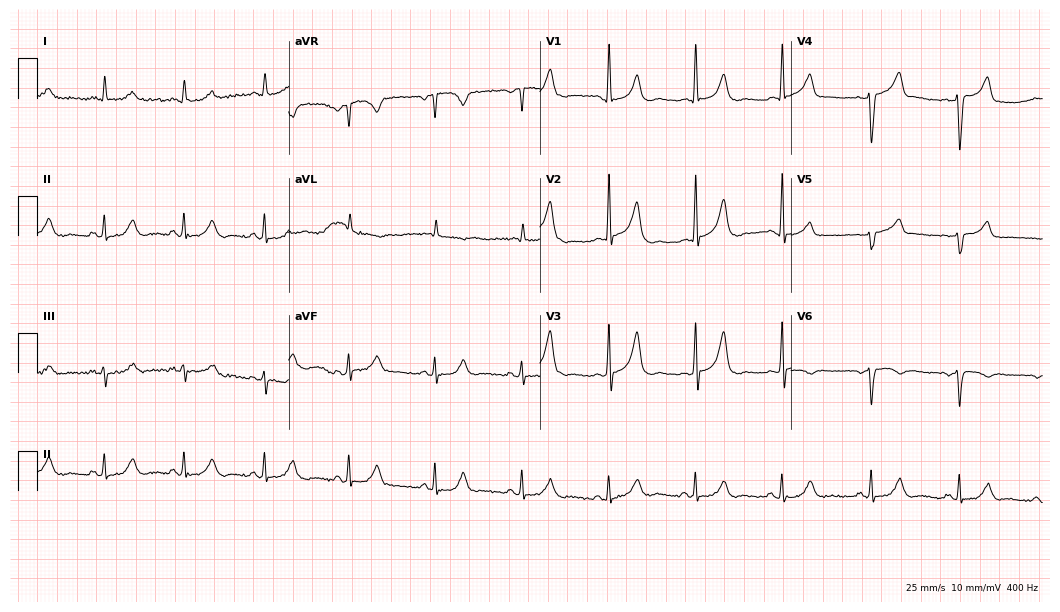
Resting 12-lead electrocardiogram (10.2-second recording at 400 Hz). Patient: a male, 72 years old. None of these six findings is recorded: first-degree AV block, right bundle branch block (RBBB), left bundle branch block (LBBB), sinus bradycardia, atrial fibrillation (AF), sinus tachycardia. Other findings, if any, are not listed.